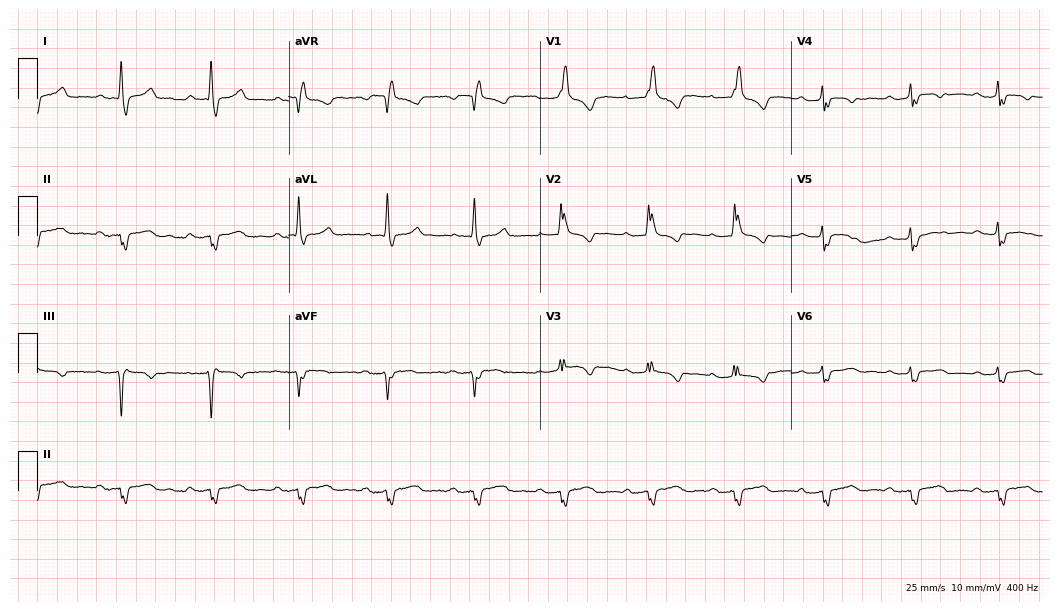
Resting 12-lead electrocardiogram. Patient: a female, 41 years old. None of these six findings is recorded: first-degree AV block, right bundle branch block, left bundle branch block, sinus bradycardia, atrial fibrillation, sinus tachycardia.